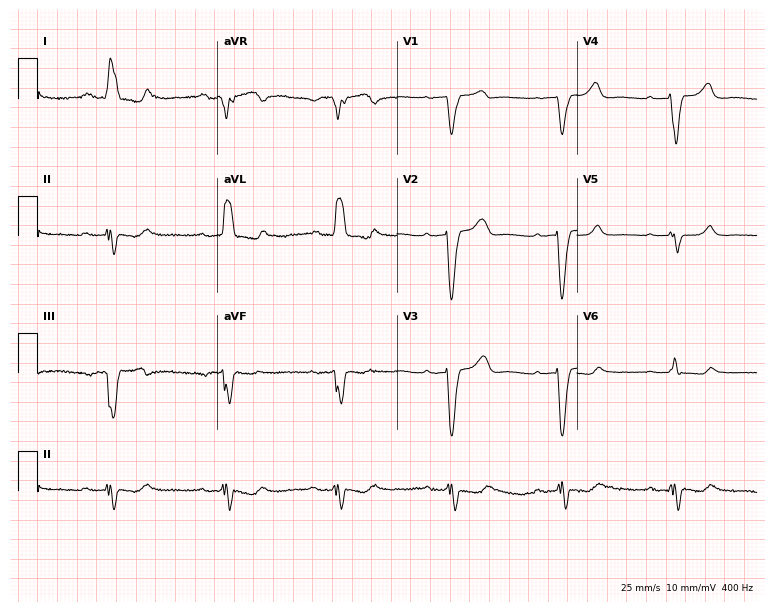
Electrocardiogram (7.3-second recording at 400 Hz), a 76-year-old man. Interpretation includes first-degree AV block, left bundle branch block.